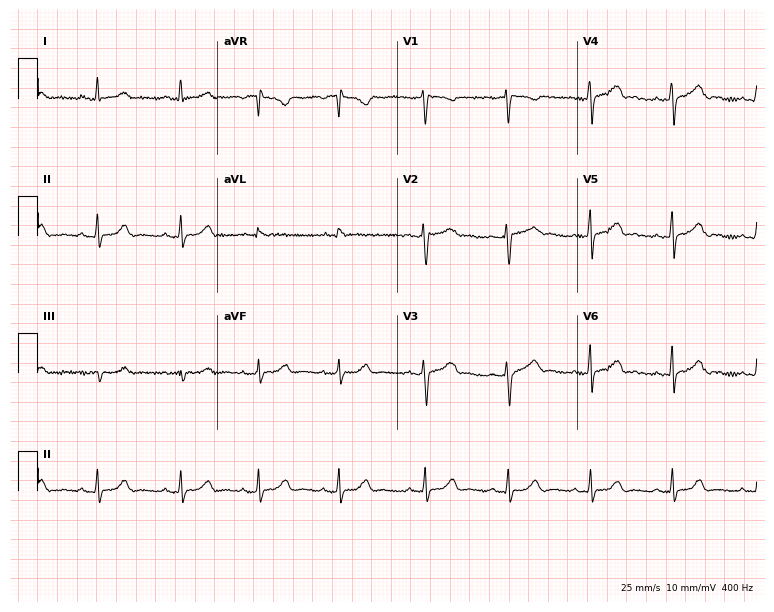
Standard 12-lead ECG recorded from a 32-year-old woman (7.3-second recording at 400 Hz). Read as a normal ECG.